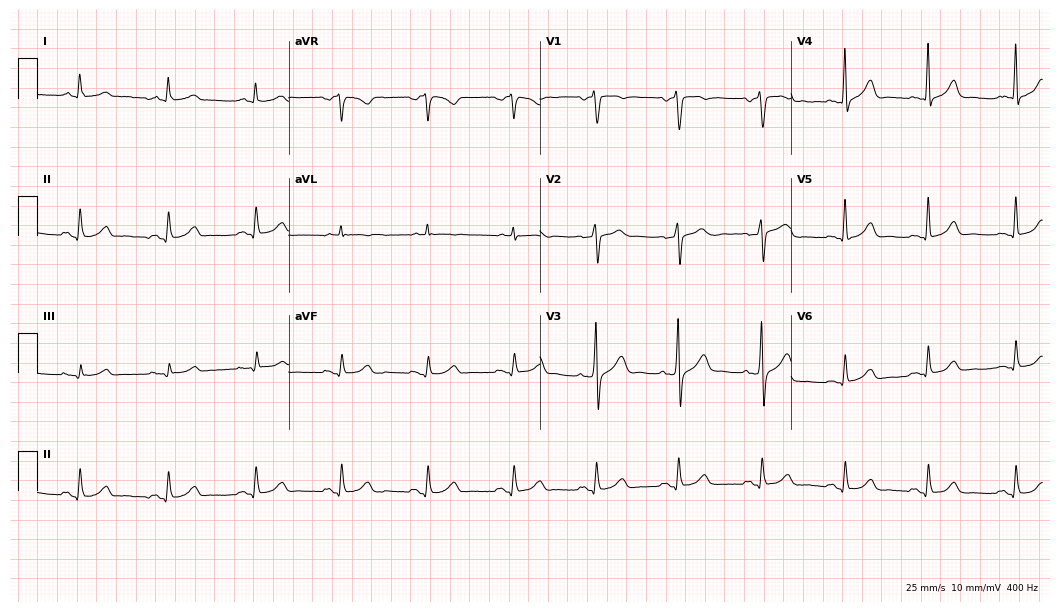
12-lead ECG from a 47-year-old male patient. Labelled as a normal ECG.